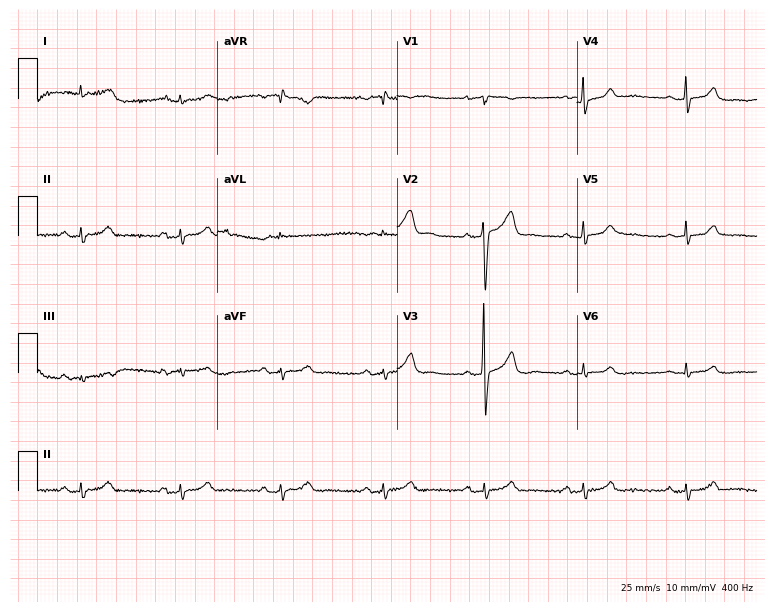
12-lead ECG from a 79-year-old man. Recorded interpretation: within normal limits.